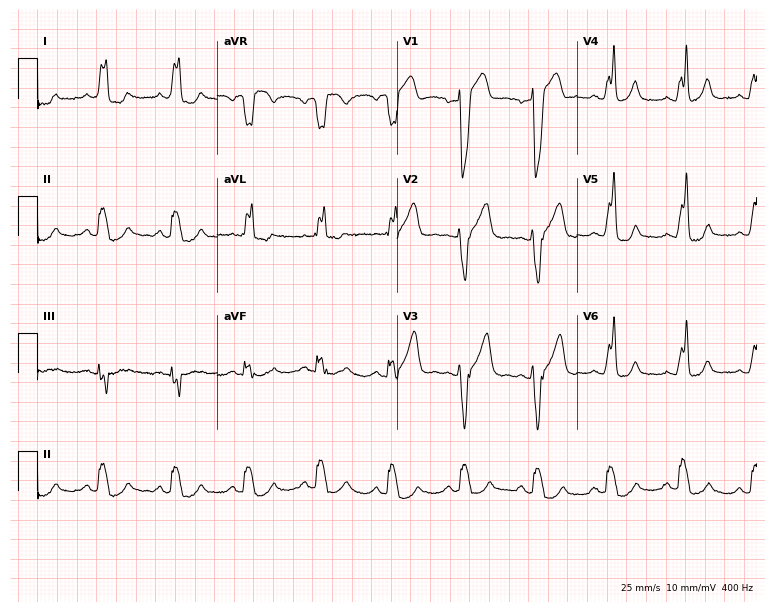
Electrocardiogram, a 69-year-old female patient. Interpretation includes left bundle branch block.